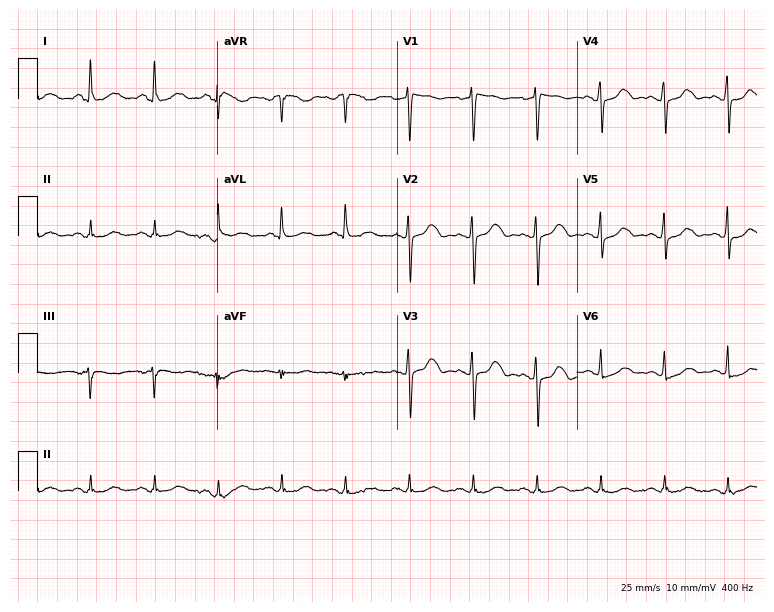
Standard 12-lead ECG recorded from a female patient, 65 years old. None of these six findings is recorded: first-degree AV block, right bundle branch block (RBBB), left bundle branch block (LBBB), sinus bradycardia, atrial fibrillation (AF), sinus tachycardia. Findings outside these six are not listed.